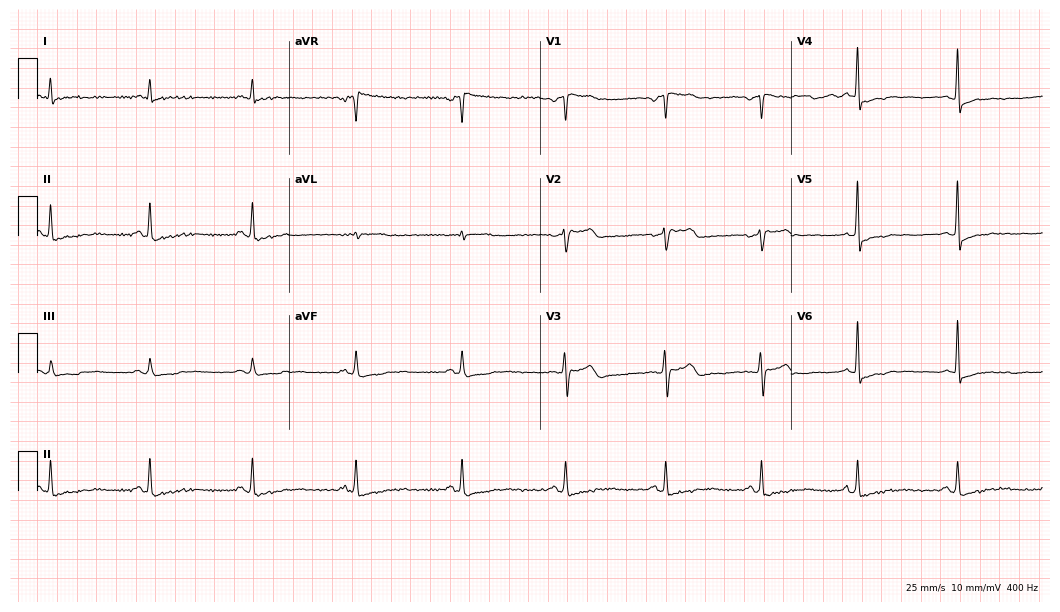
12-lead ECG from a 54-year-old man (10.2-second recording at 400 Hz). No first-degree AV block, right bundle branch block, left bundle branch block, sinus bradycardia, atrial fibrillation or sinus tachycardia recorded for this tracing.